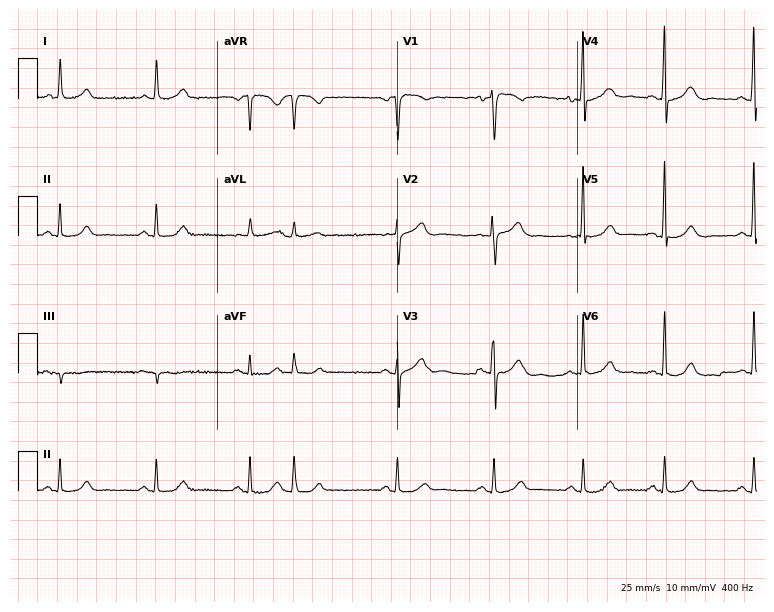
12-lead ECG (7.3-second recording at 400 Hz) from a 76-year-old man. Screened for six findings — first-degree AV block, right bundle branch block, left bundle branch block, sinus bradycardia, atrial fibrillation, sinus tachycardia — none is recorded.